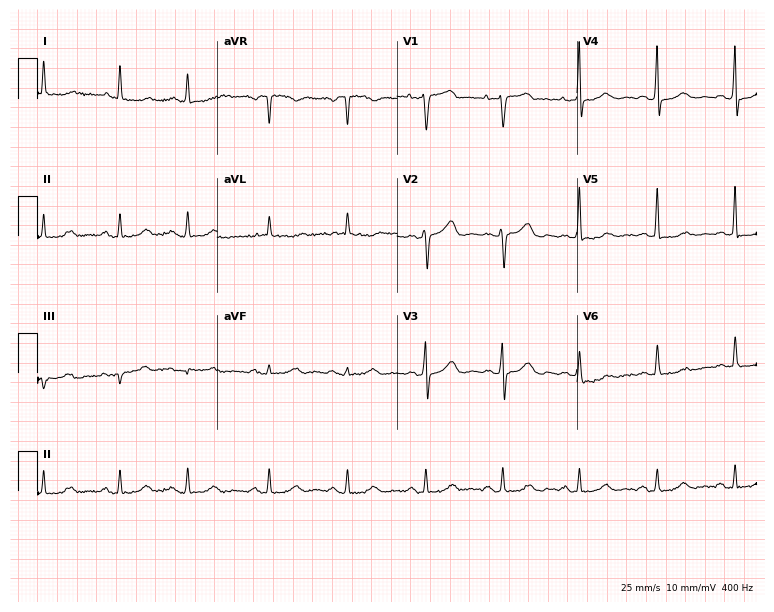
12-lead ECG (7.3-second recording at 400 Hz) from an 81-year-old woman. Screened for six findings — first-degree AV block, right bundle branch block (RBBB), left bundle branch block (LBBB), sinus bradycardia, atrial fibrillation (AF), sinus tachycardia — none is recorded.